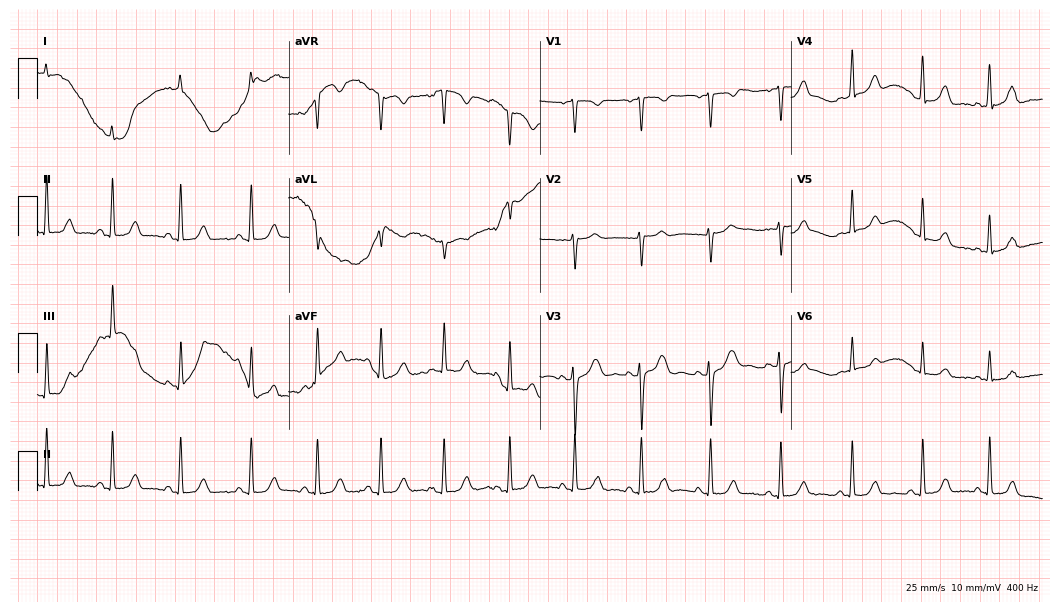
12-lead ECG from a woman, 33 years old. Labelled as a normal ECG.